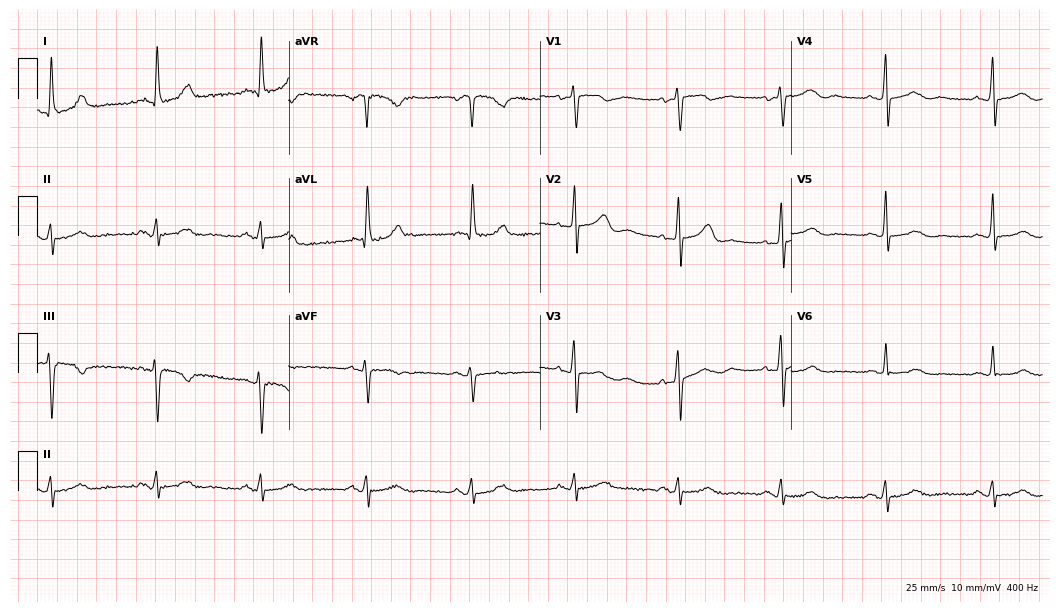
Resting 12-lead electrocardiogram. Patient: a woman, 79 years old. Read as a normal ECG.